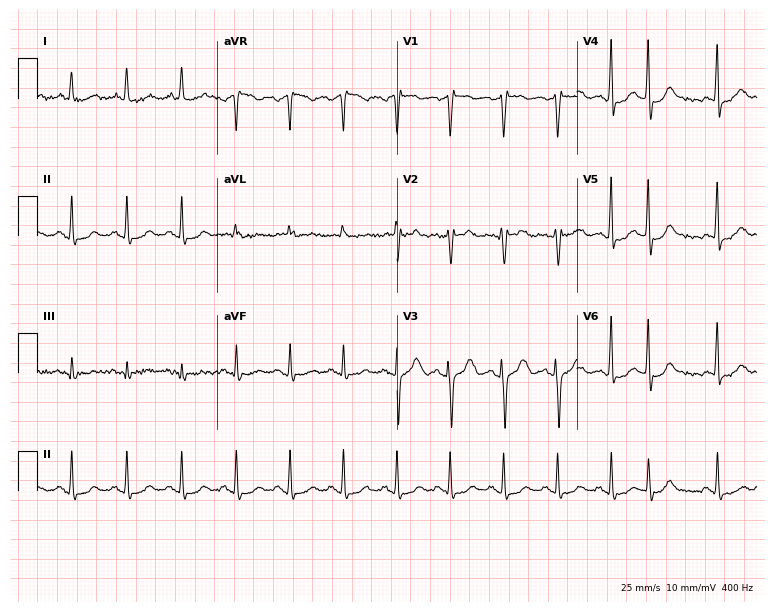
Electrocardiogram, a 53-year-old female patient. Interpretation includes sinus tachycardia (a sinus rate of 100 beats per minute or more).